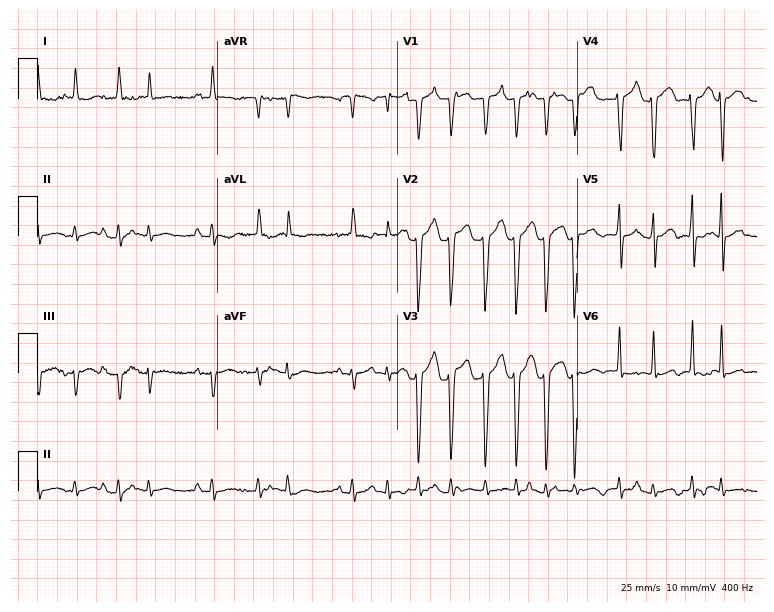
ECG — a female, 65 years old. Findings include atrial fibrillation.